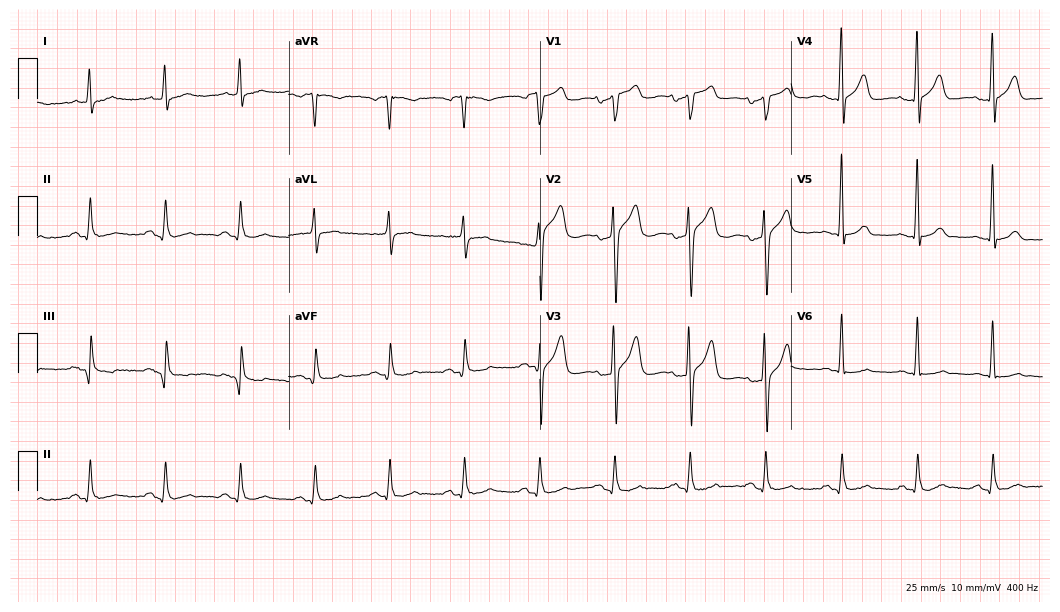
Standard 12-lead ECG recorded from a 59-year-old male (10.2-second recording at 400 Hz). Read as a normal ECG.